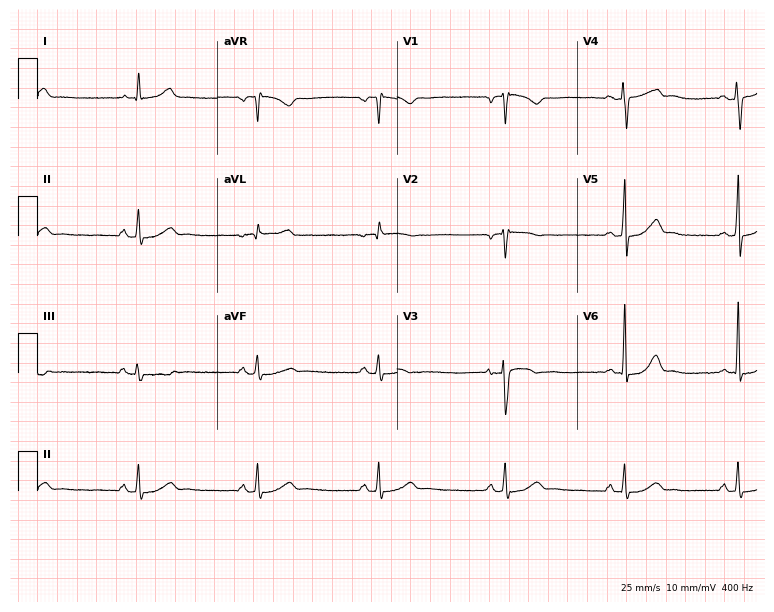
Electrocardiogram (7.3-second recording at 400 Hz), a 40-year-old woman. Interpretation includes sinus bradycardia (a sinus rate of 50 beats per minute or less).